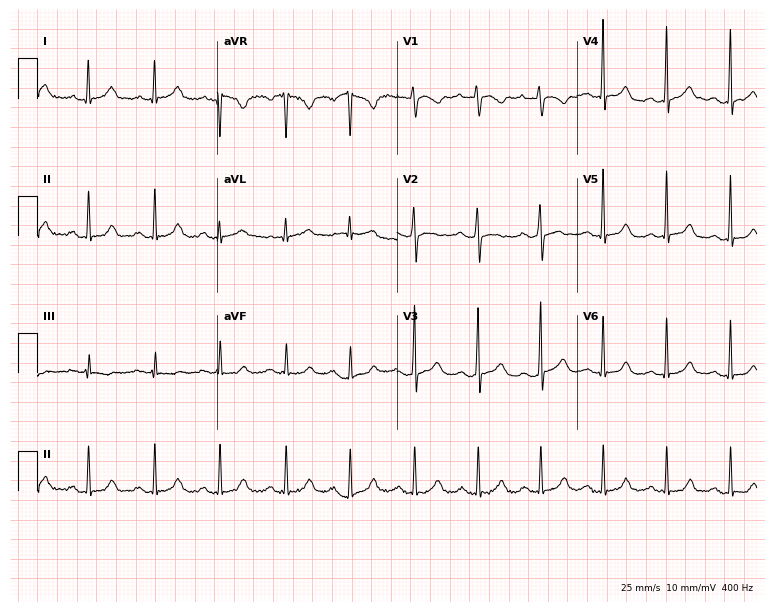
ECG — a 27-year-old female patient. Labelled as a normal ECG.